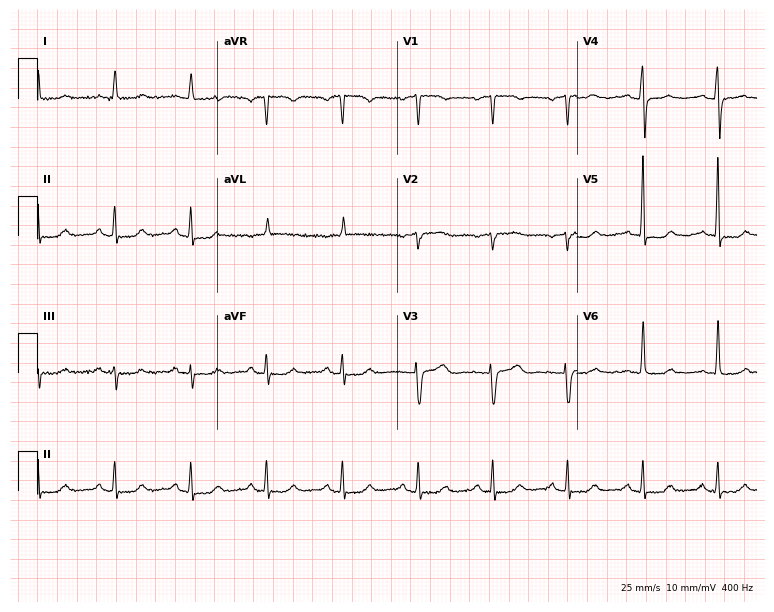
Standard 12-lead ECG recorded from a female patient, 66 years old. None of these six findings is recorded: first-degree AV block, right bundle branch block, left bundle branch block, sinus bradycardia, atrial fibrillation, sinus tachycardia.